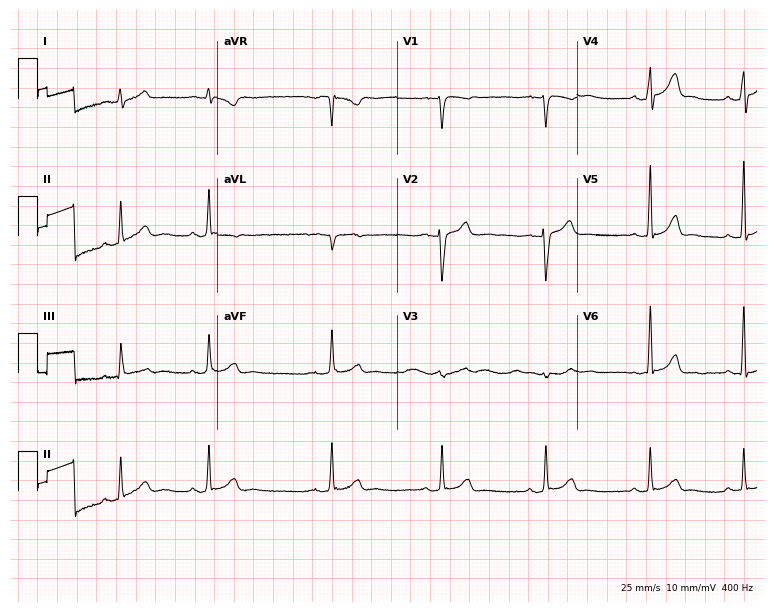
ECG (7.3-second recording at 400 Hz) — a 23-year-old man. Screened for six findings — first-degree AV block, right bundle branch block (RBBB), left bundle branch block (LBBB), sinus bradycardia, atrial fibrillation (AF), sinus tachycardia — none is recorded. Other findings, if any, are not listed.